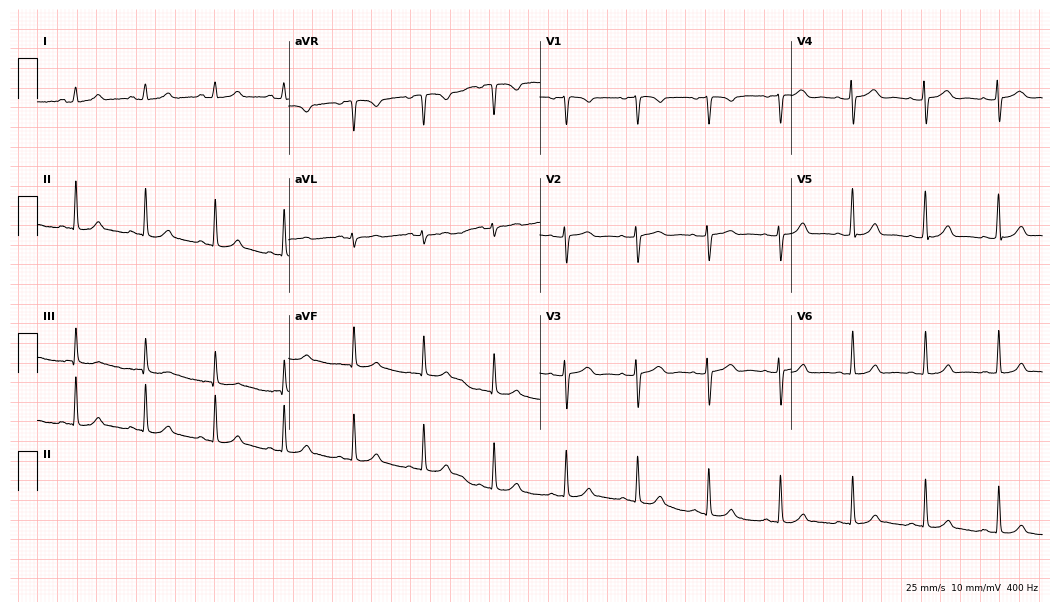
12-lead ECG from a woman, 17 years old. Labelled as a normal ECG.